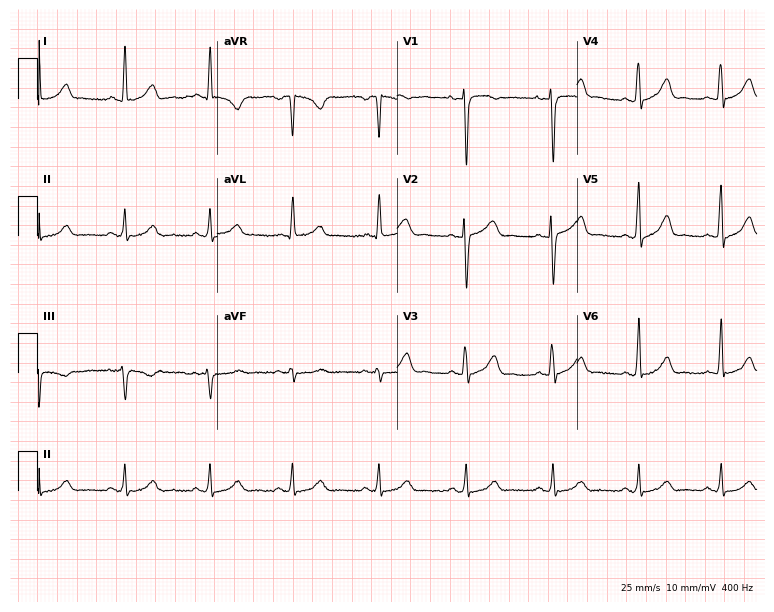
Resting 12-lead electrocardiogram (7.3-second recording at 400 Hz). Patient: a 36-year-old woman. Read as a normal ECG.